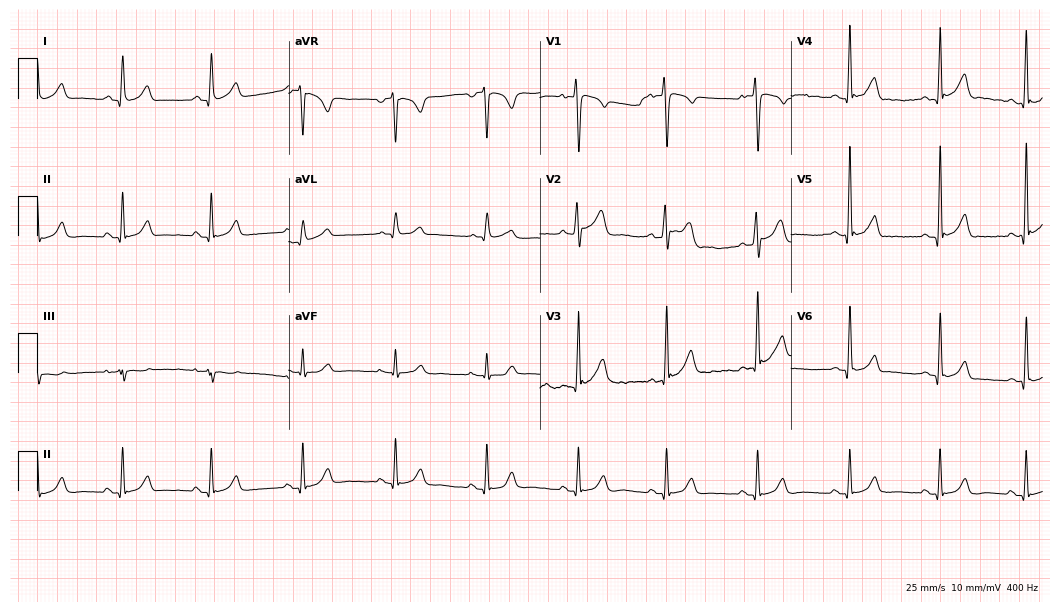
12-lead ECG from a 30-year-old male patient. Labelled as a normal ECG.